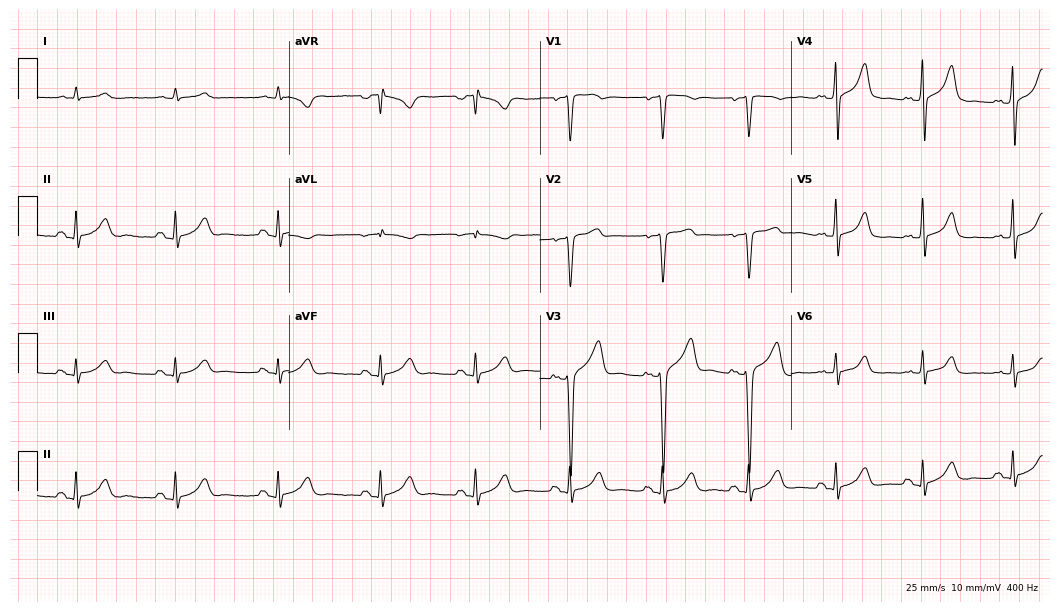
Electrocardiogram (10.2-second recording at 400 Hz), a man, 66 years old. Of the six screened findings (first-degree AV block, right bundle branch block (RBBB), left bundle branch block (LBBB), sinus bradycardia, atrial fibrillation (AF), sinus tachycardia), none is recorded. Only these six findings were labelled.